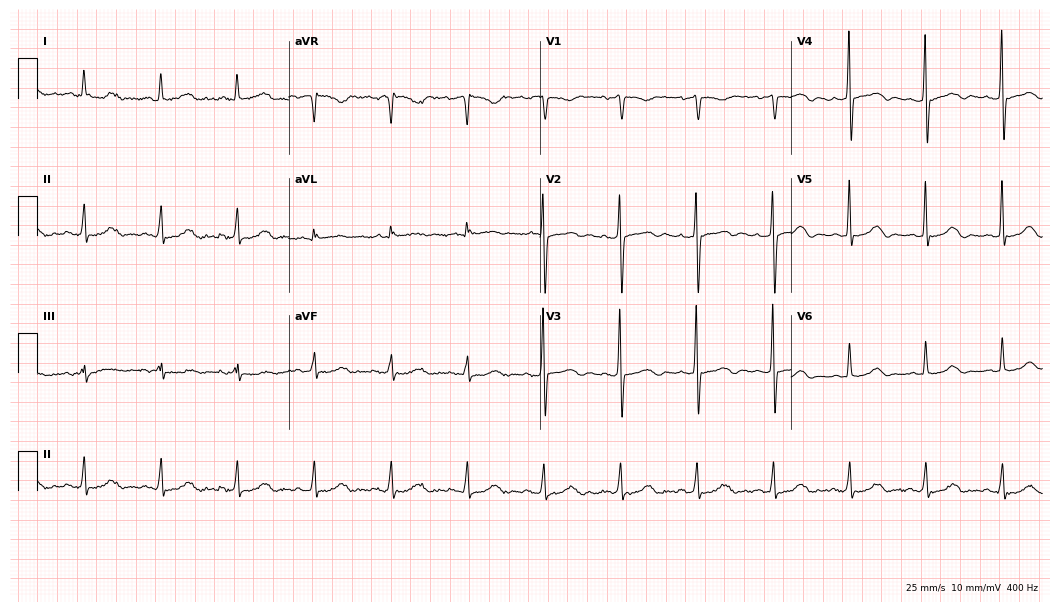
12-lead ECG from a 45-year-old man (10.2-second recording at 400 Hz). Recorded interpretation: within normal limits.